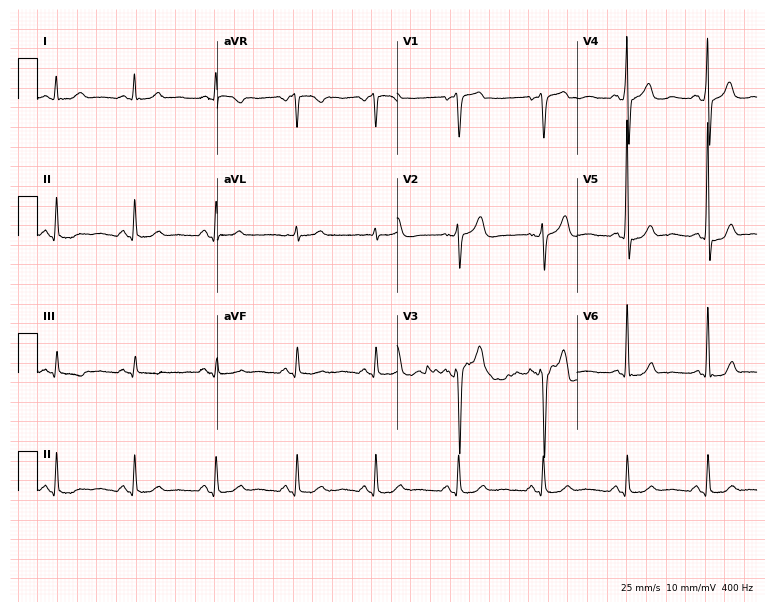
ECG (7.3-second recording at 400 Hz) — a male patient, 64 years old. Labelled as a normal ECG.